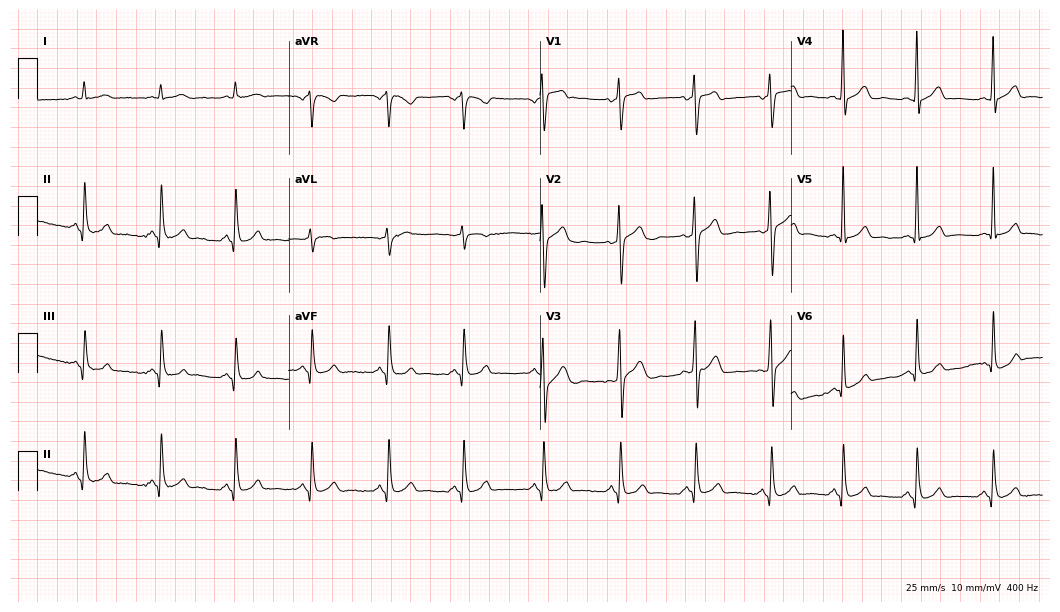
ECG (10.2-second recording at 400 Hz) — a male, 55 years old. Labelled as a normal ECG.